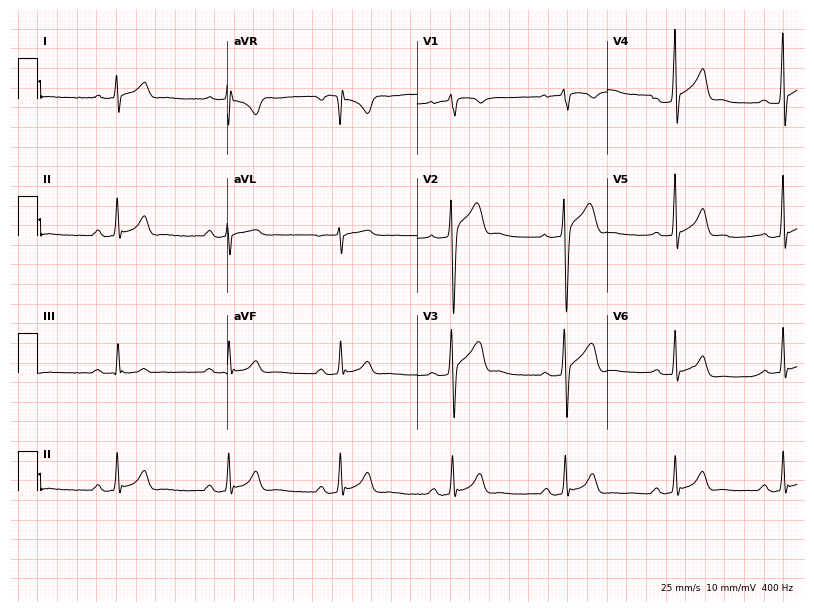
12-lead ECG from a male patient, 39 years old. Labelled as a normal ECG.